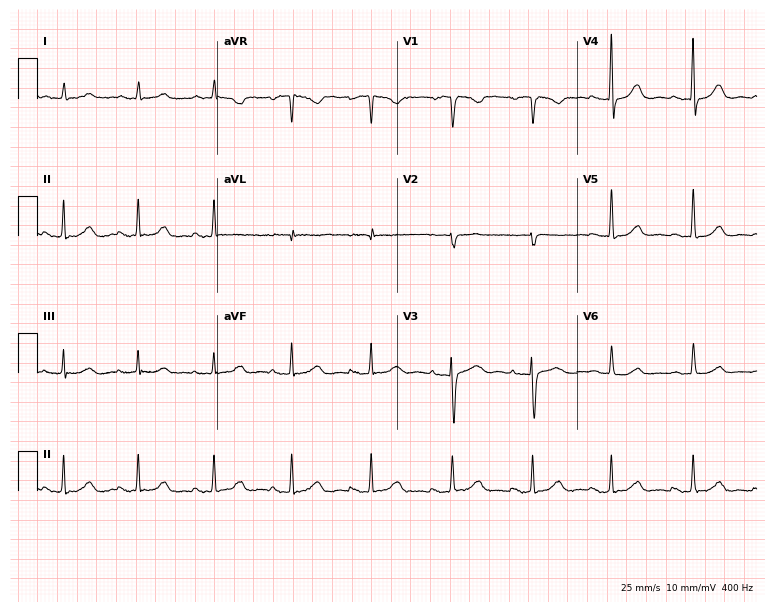
Standard 12-lead ECG recorded from a woman, 77 years old (7.3-second recording at 400 Hz). None of these six findings is recorded: first-degree AV block, right bundle branch block, left bundle branch block, sinus bradycardia, atrial fibrillation, sinus tachycardia. Findings outside these six are not listed.